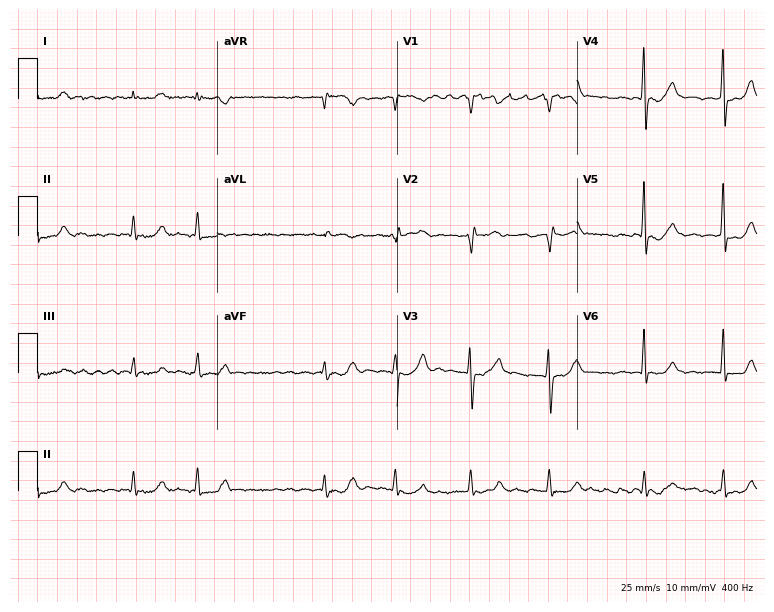
Resting 12-lead electrocardiogram (7.3-second recording at 400 Hz). Patient: a 73-year-old man. The tracing shows atrial fibrillation.